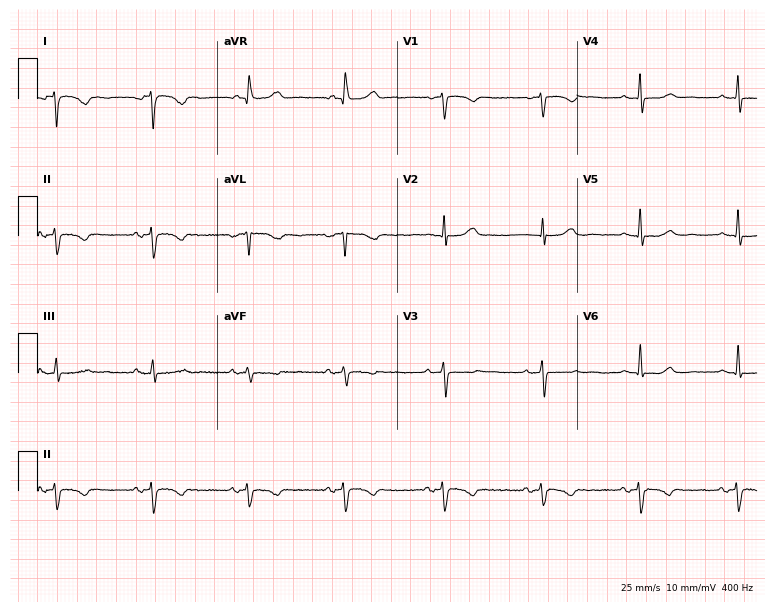
12-lead ECG from a 77-year-old female patient. Screened for six findings — first-degree AV block, right bundle branch block, left bundle branch block, sinus bradycardia, atrial fibrillation, sinus tachycardia — none is recorded. Other findings, if any, are not listed.